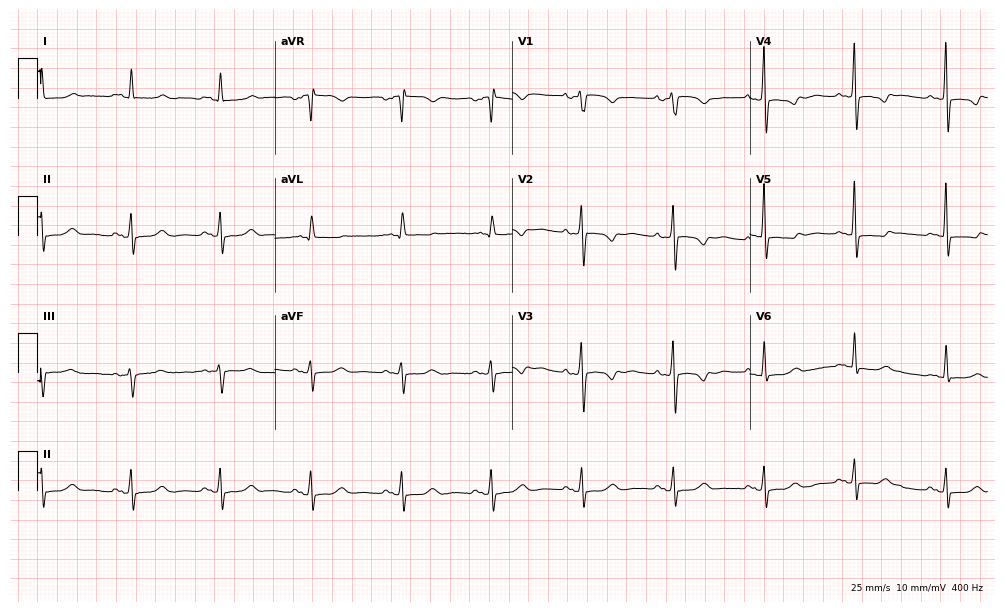
Electrocardiogram, a female, 80 years old. Of the six screened findings (first-degree AV block, right bundle branch block, left bundle branch block, sinus bradycardia, atrial fibrillation, sinus tachycardia), none is recorded. Only these six findings were labelled.